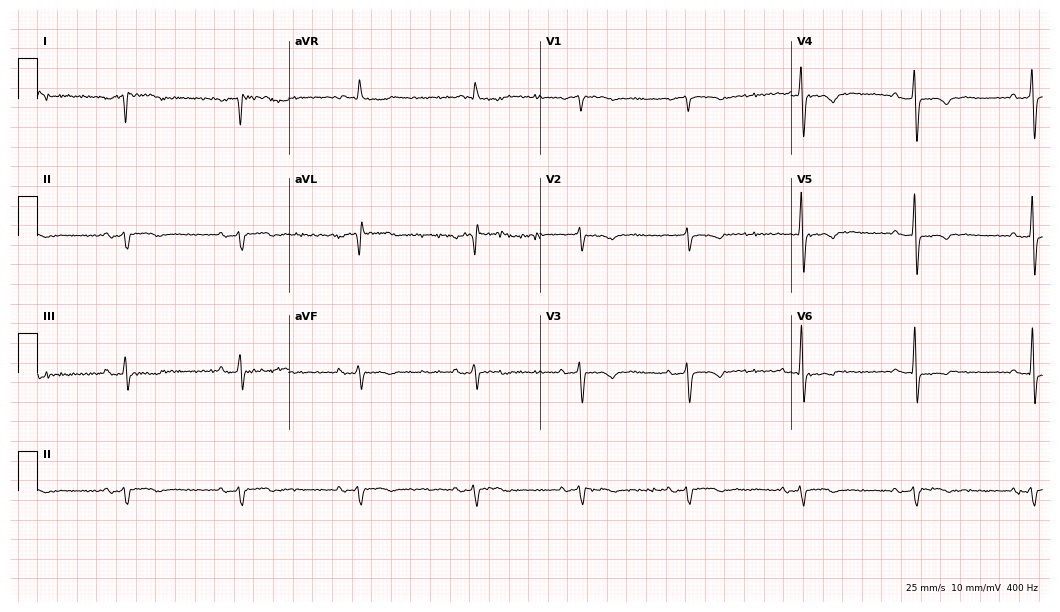
Resting 12-lead electrocardiogram (10.2-second recording at 400 Hz). Patient: a female, 76 years old. None of these six findings is recorded: first-degree AV block, right bundle branch block, left bundle branch block, sinus bradycardia, atrial fibrillation, sinus tachycardia.